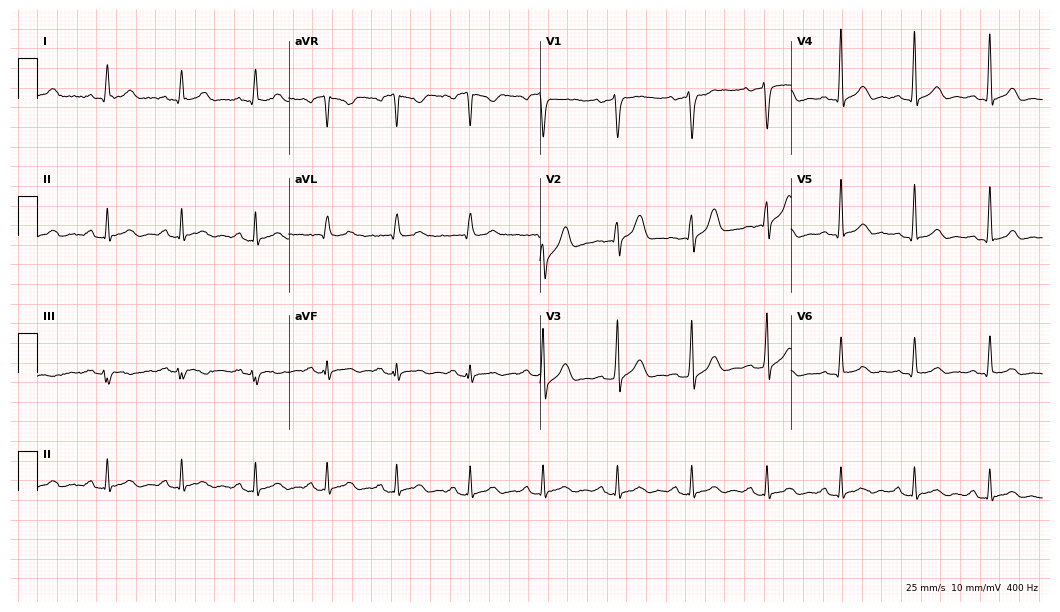
12-lead ECG from a 36-year-old male (10.2-second recording at 400 Hz). No first-degree AV block, right bundle branch block, left bundle branch block, sinus bradycardia, atrial fibrillation or sinus tachycardia recorded for this tracing. Other findings, if any, are not listed.